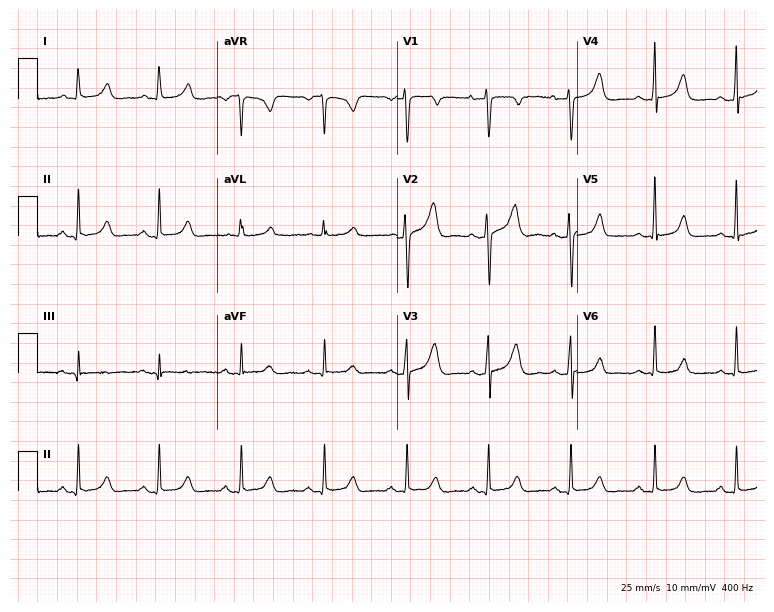
12-lead ECG from a 33-year-old female patient. Recorded interpretation: within normal limits.